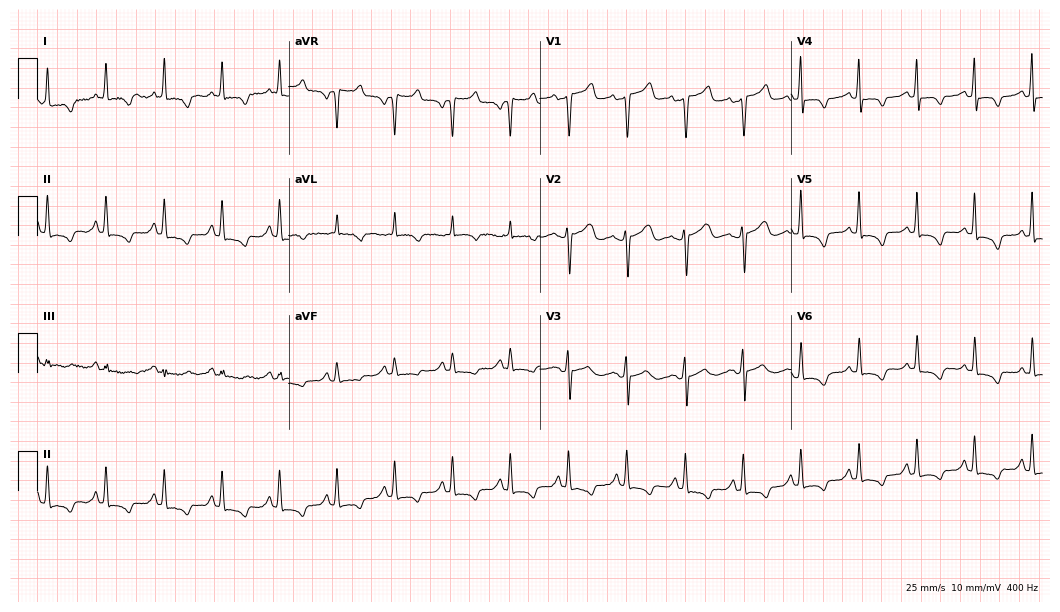
12-lead ECG from a female, 64 years old. No first-degree AV block, right bundle branch block, left bundle branch block, sinus bradycardia, atrial fibrillation or sinus tachycardia recorded for this tracing. Other findings, if any, are not listed.